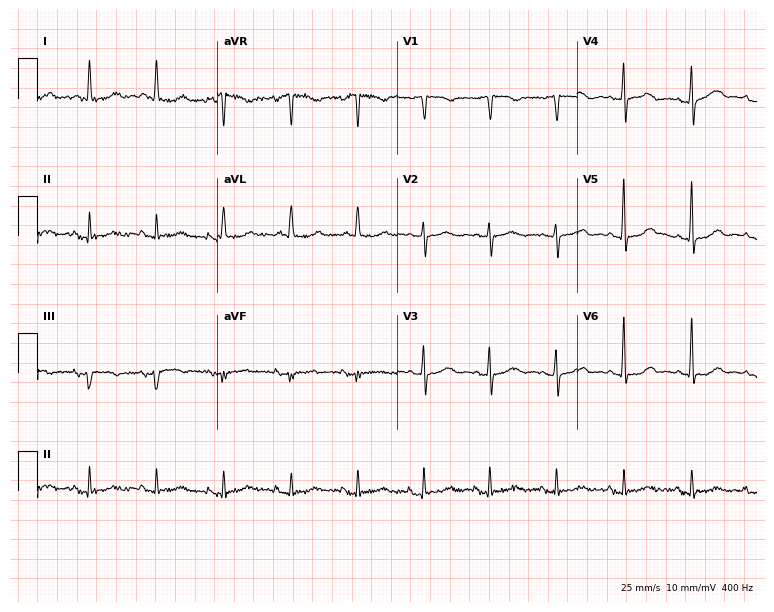
12-lead ECG from a 71-year-old female patient. Screened for six findings — first-degree AV block, right bundle branch block, left bundle branch block, sinus bradycardia, atrial fibrillation, sinus tachycardia — none is recorded. Other findings, if any, are not listed.